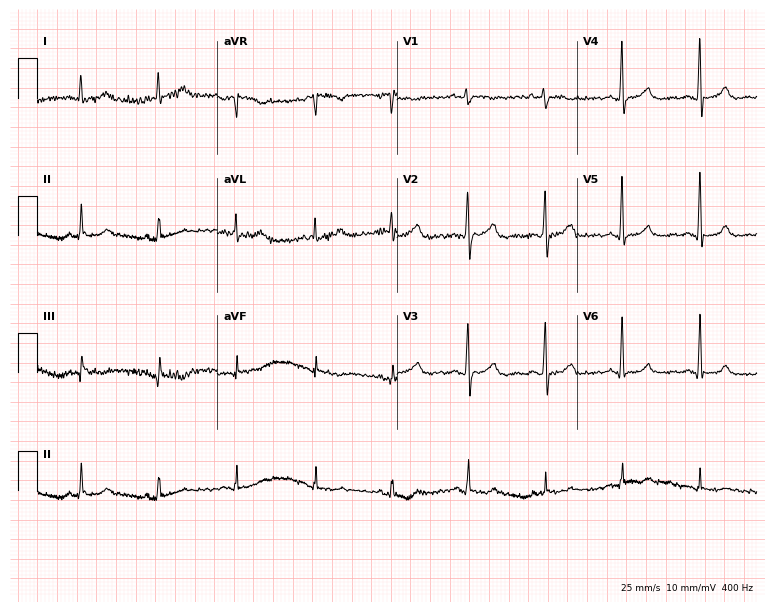
Standard 12-lead ECG recorded from a female patient, 46 years old. None of these six findings is recorded: first-degree AV block, right bundle branch block (RBBB), left bundle branch block (LBBB), sinus bradycardia, atrial fibrillation (AF), sinus tachycardia.